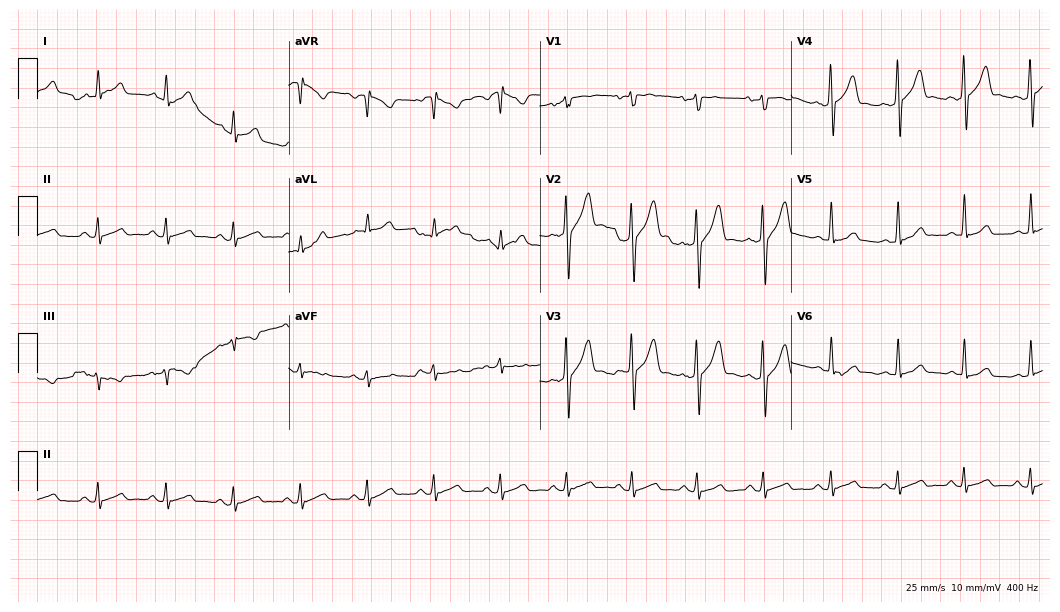
Electrocardiogram (10.2-second recording at 400 Hz), a male patient, 30 years old. Overall reading on record: normal ECG.